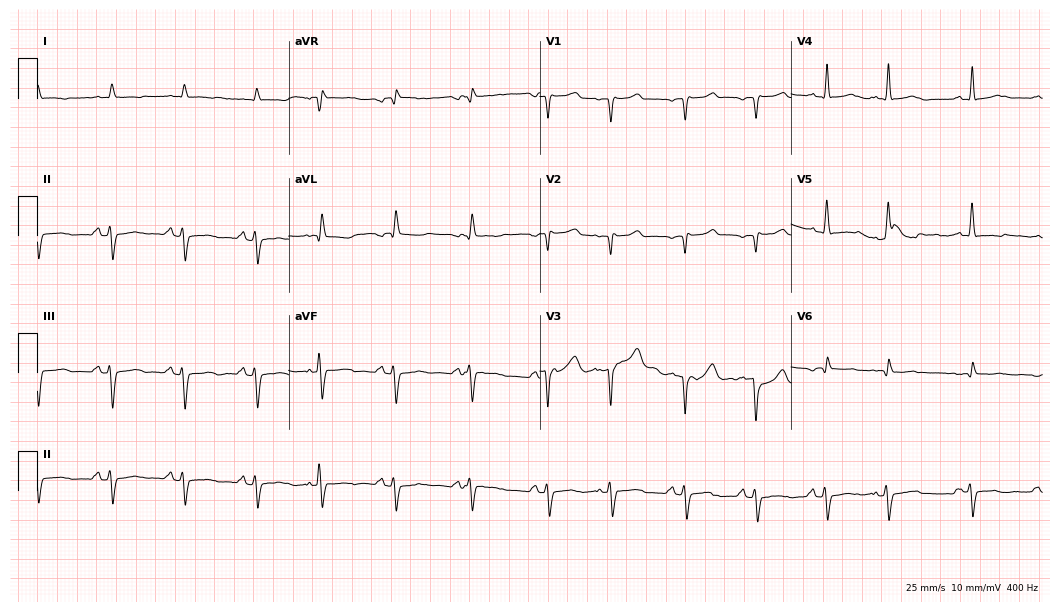
Standard 12-lead ECG recorded from an 83-year-old man. None of these six findings is recorded: first-degree AV block, right bundle branch block, left bundle branch block, sinus bradycardia, atrial fibrillation, sinus tachycardia.